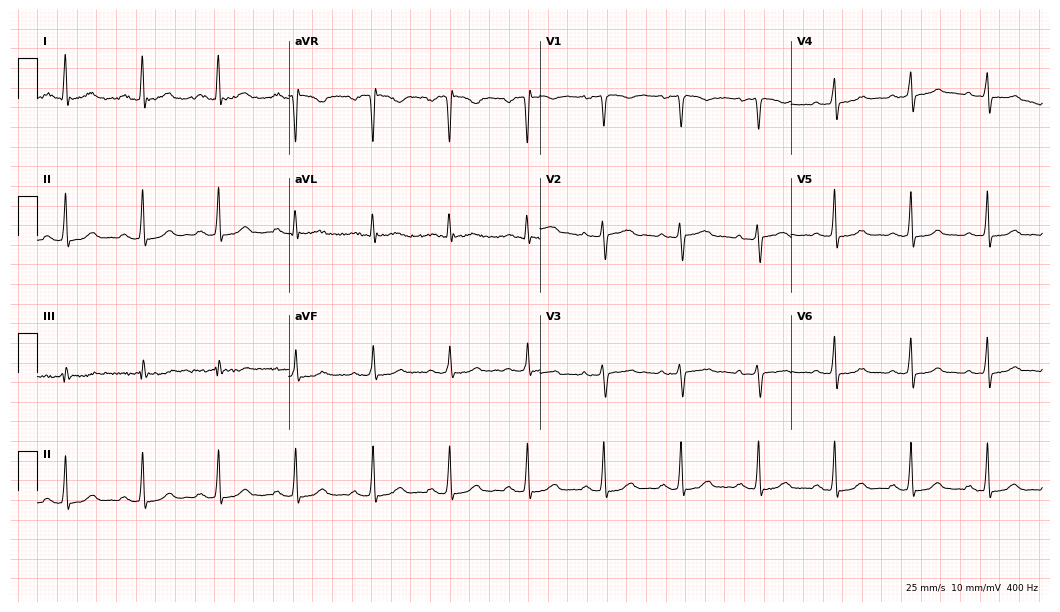
Standard 12-lead ECG recorded from a 44-year-old female (10.2-second recording at 400 Hz). Read as a normal ECG.